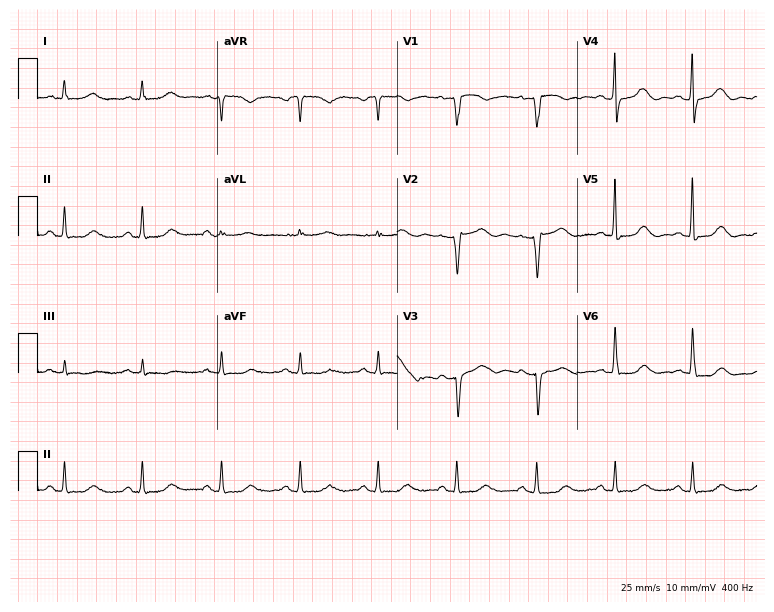
Electrocardiogram, a female, 77 years old. Overall reading on record: normal ECG.